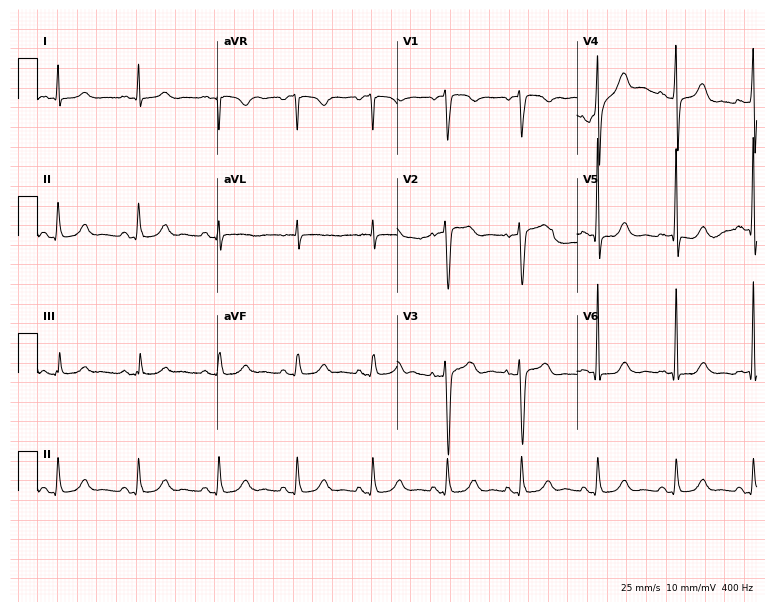
12-lead ECG from a 65-year-old male patient. Labelled as a normal ECG.